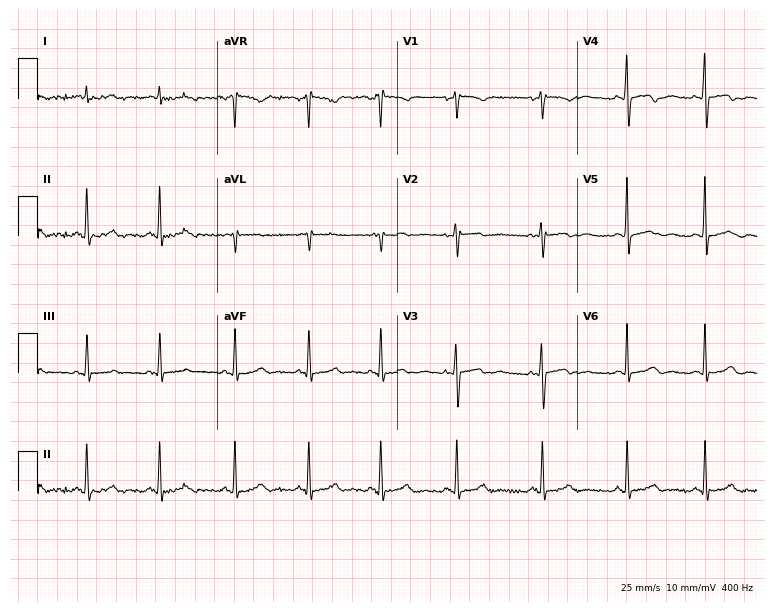
12-lead ECG from a 45-year-old woman. Screened for six findings — first-degree AV block, right bundle branch block, left bundle branch block, sinus bradycardia, atrial fibrillation, sinus tachycardia — none is recorded. Only these six findings were labelled.